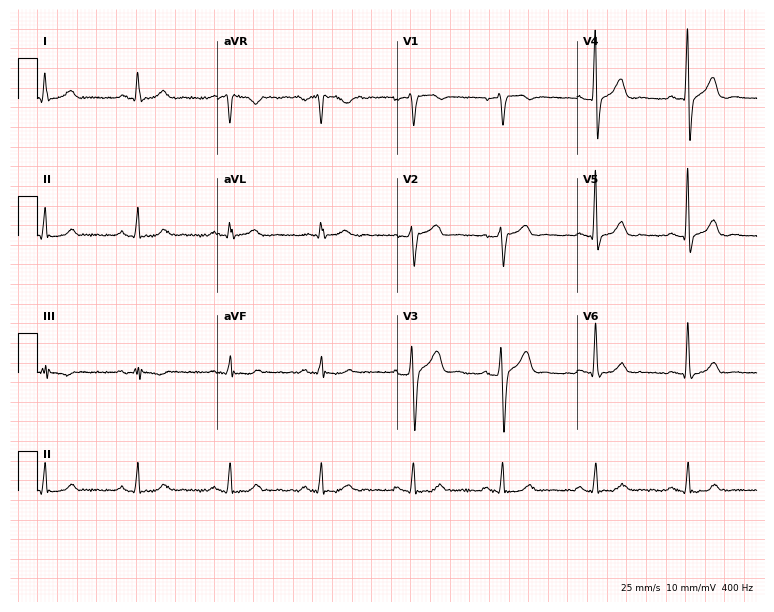
Resting 12-lead electrocardiogram (7.3-second recording at 400 Hz). Patient: a 50-year-old man. None of these six findings is recorded: first-degree AV block, right bundle branch block, left bundle branch block, sinus bradycardia, atrial fibrillation, sinus tachycardia.